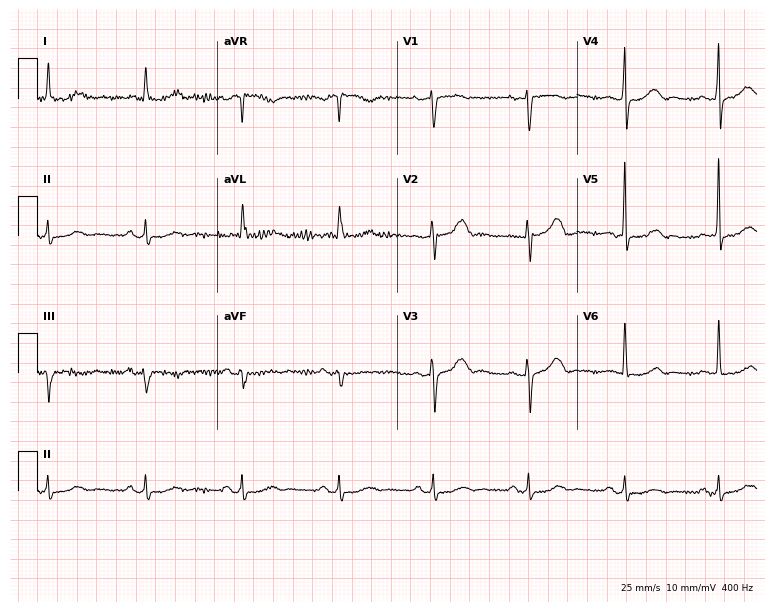
12-lead ECG from a 52-year-old female. Labelled as a normal ECG.